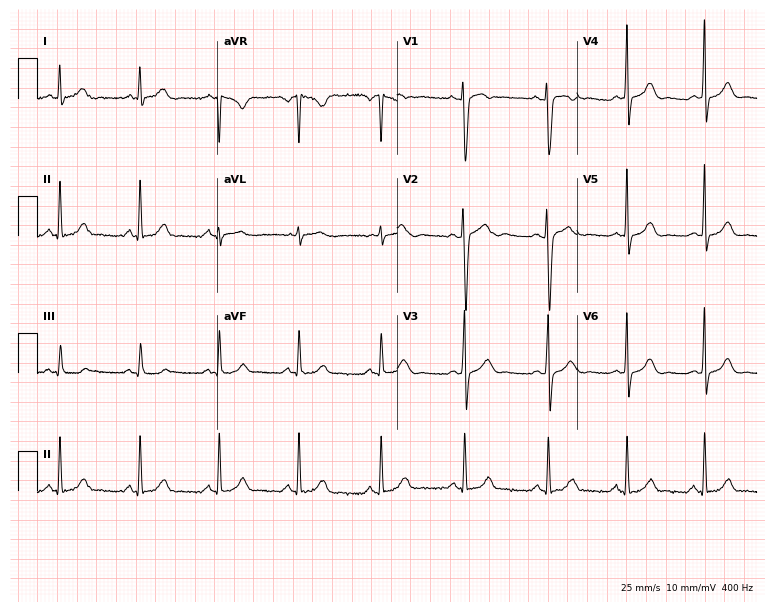
Electrocardiogram (7.3-second recording at 400 Hz), a 34-year-old female patient. Of the six screened findings (first-degree AV block, right bundle branch block (RBBB), left bundle branch block (LBBB), sinus bradycardia, atrial fibrillation (AF), sinus tachycardia), none is recorded.